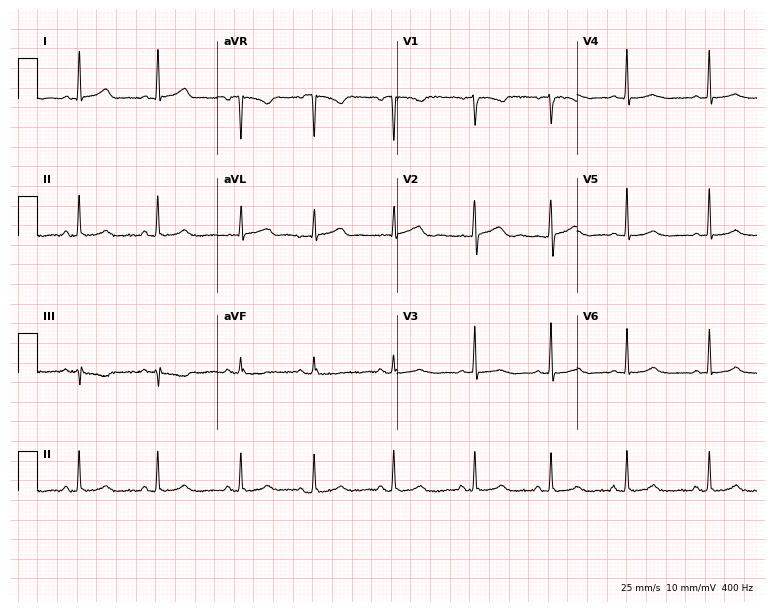
Resting 12-lead electrocardiogram (7.3-second recording at 400 Hz). Patient: a female, 25 years old. Read as a normal ECG.